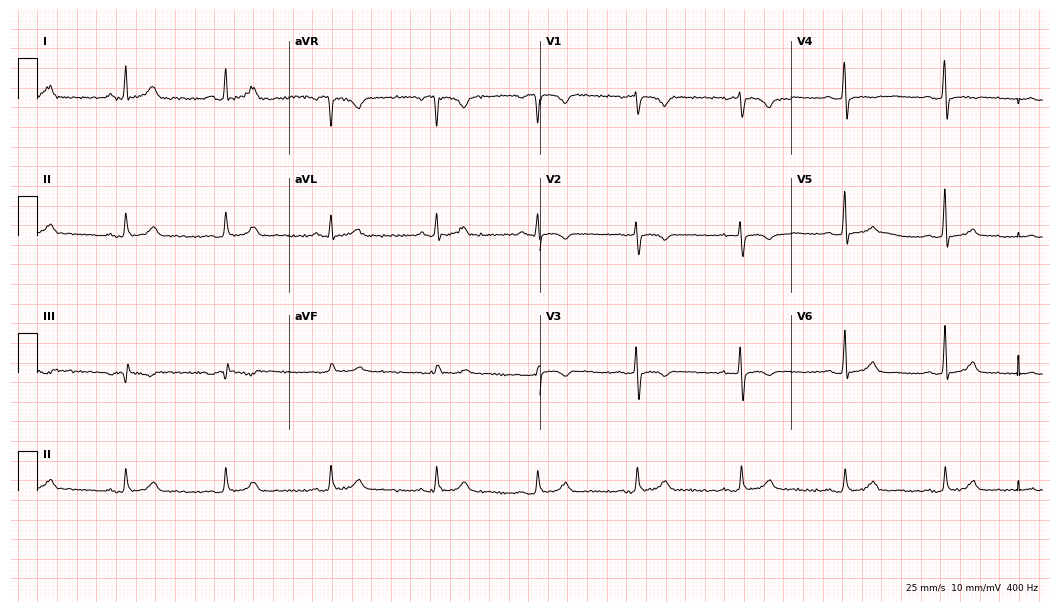
ECG — a female, 48 years old. Screened for six findings — first-degree AV block, right bundle branch block, left bundle branch block, sinus bradycardia, atrial fibrillation, sinus tachycardia — none is recorded. Other findings, if any, are not listed.